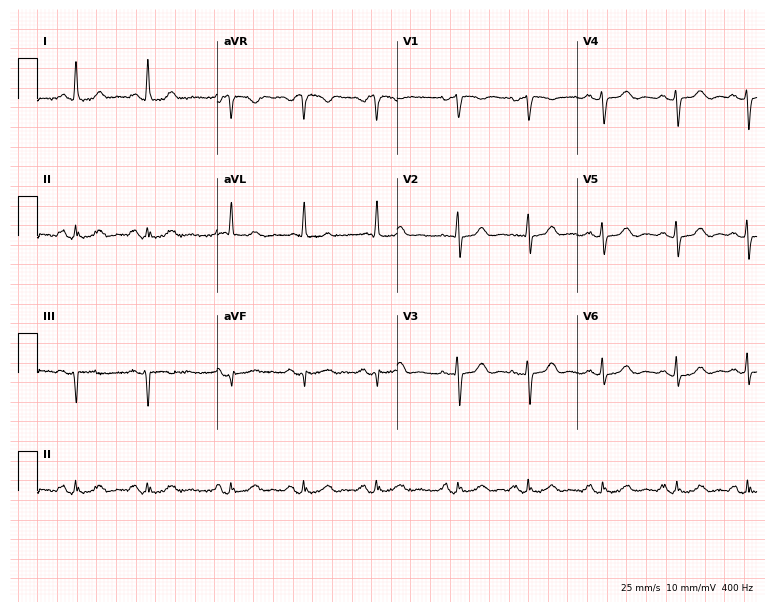
Standard 12-lead ECG recorded from a female patient, 79 years old. None of these six findings is recorded: first-degree AV block, right bundle branch block, left bundle branch block, sinus bradycardia, atrial fibrillation, sinus tachycardia. Findings outside these six are not listed.